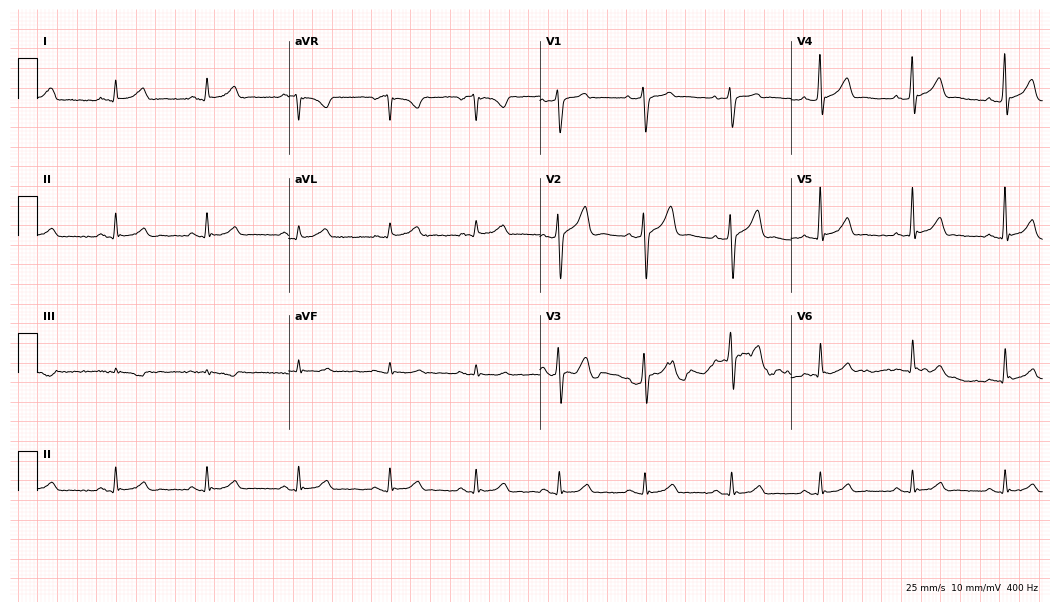
Electrocardiogram, a male, 48 years old. Overall reading on record: normal ECG.